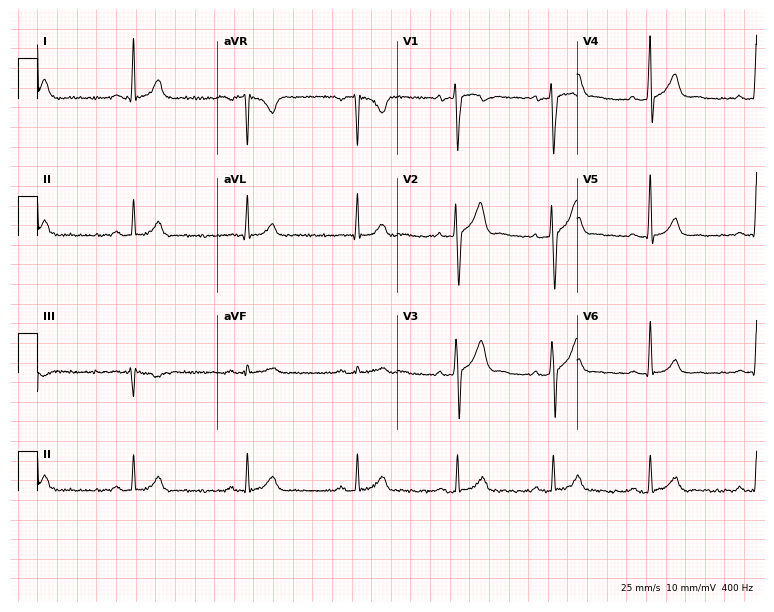
12-lead ECG (7.3-second recording at 400 Hz) from a male patient, 29 years old. Screened for six findings — first-degree AV block, right bundle branch block (RBBB), left bundle branch block (LBBB), sinus bradycardia, atrial fibrillation (AF), sinus tachycardia — none is recorded.